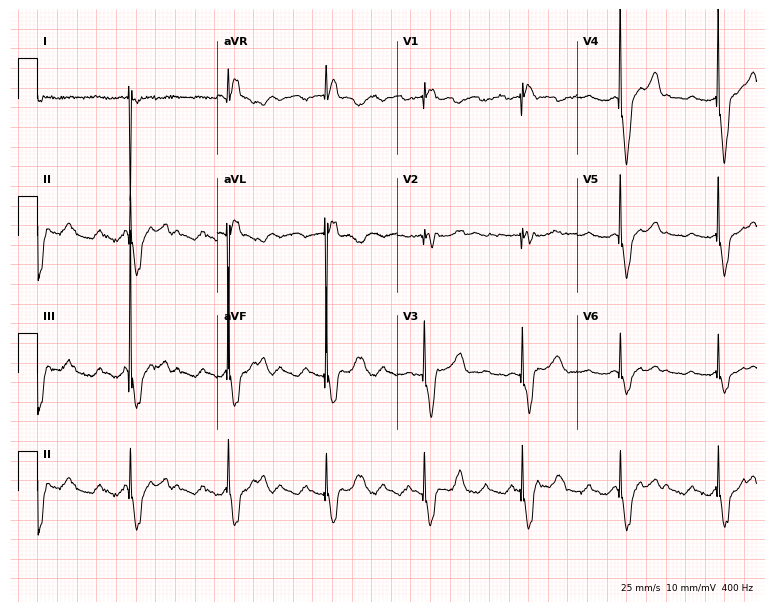
Standard 12-lead ECG recorded from an 82-year-old male (7.3-second recording at 400 Hz). None of these six findings is recorded: first-degree AV block, right bundle branch block, left bundle branch block, sinus bradycardia, atrial fibrillation, sinus tachycardia. Findings outside these six are not listed.